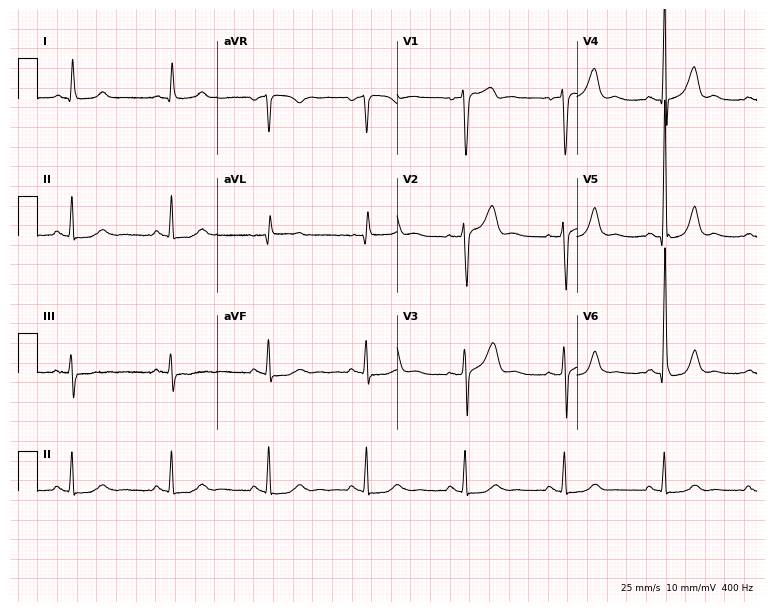
Standard 12-lead ECG recorded from a 66-year-old man (7.3-second recording at 400 Hz). Read as a normal ECG.